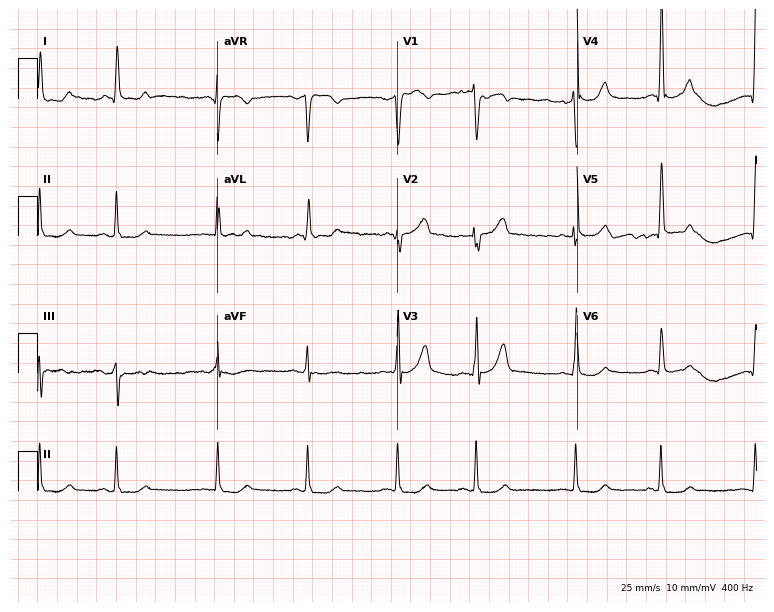
12-lead ECG from a male, 56 years old. No first-degree AV block, right bundle branch block, left bundle branch block, sinus bradycardia, atrial fibrillation or sinus tachycardia recorded for this tracing. Findings outside these six are not listed.